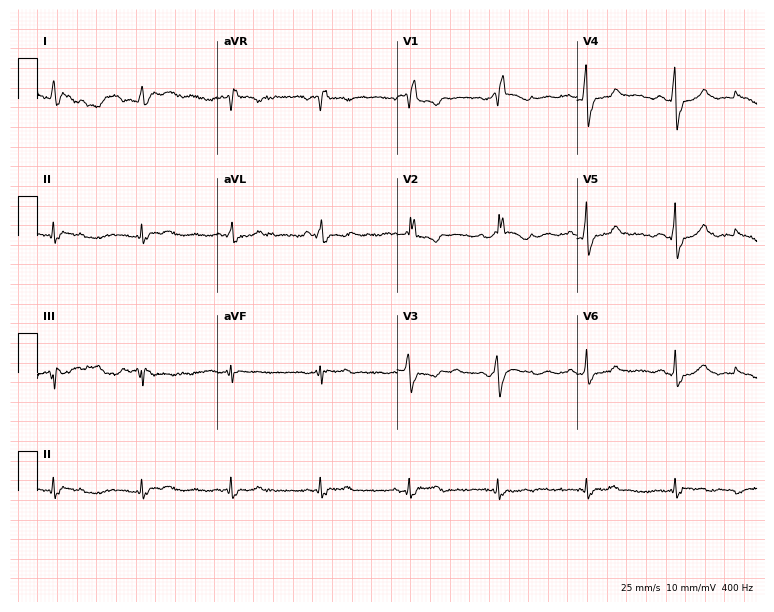
12-lead ECG from a 65-year-old man. Shows right bundle branch block.